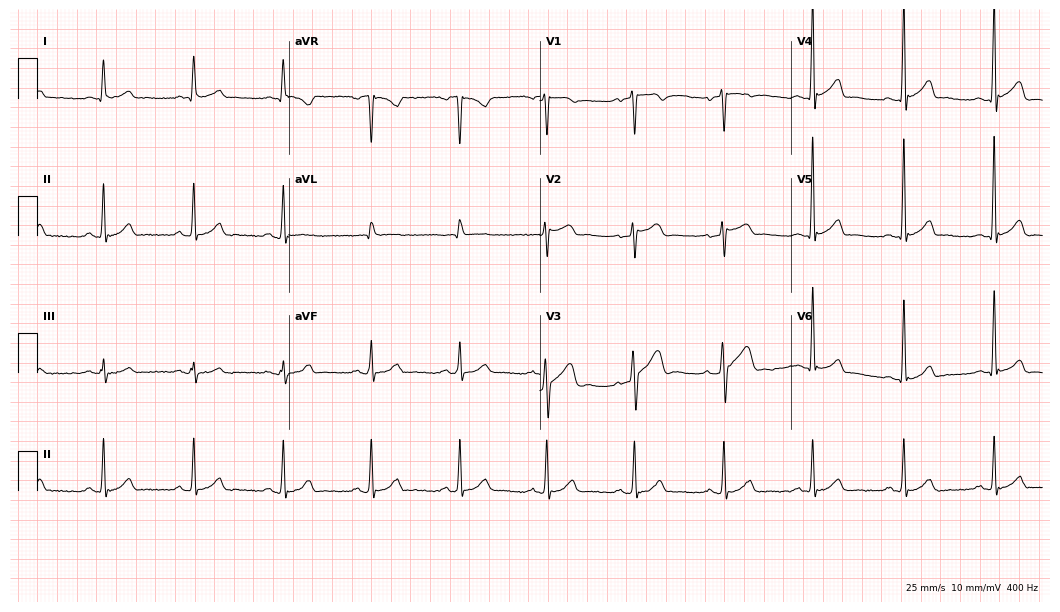
12-lead ECG from a man, 44 years old. Recorded interpretation: within normal limits.